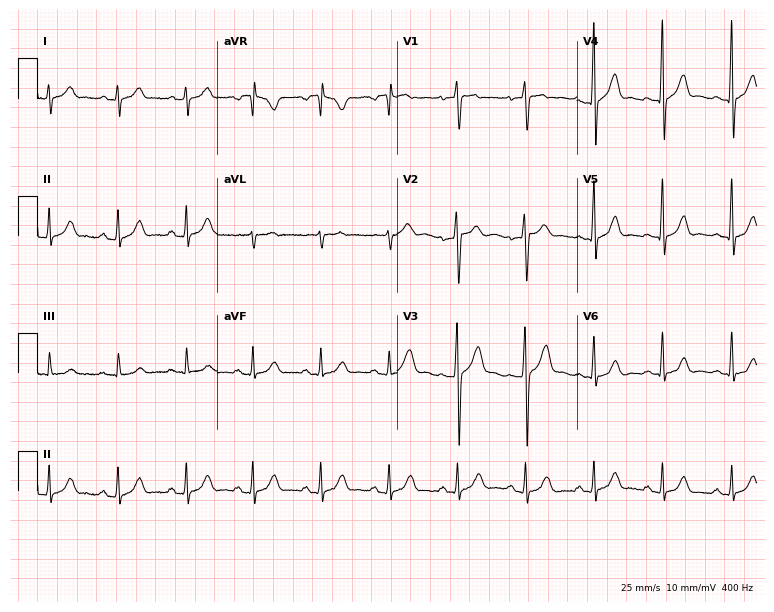
Standard 12-lead ECG recorded from a male, 33 years old (7.3-second recording at 400 Hz). Read as a normal ECG.